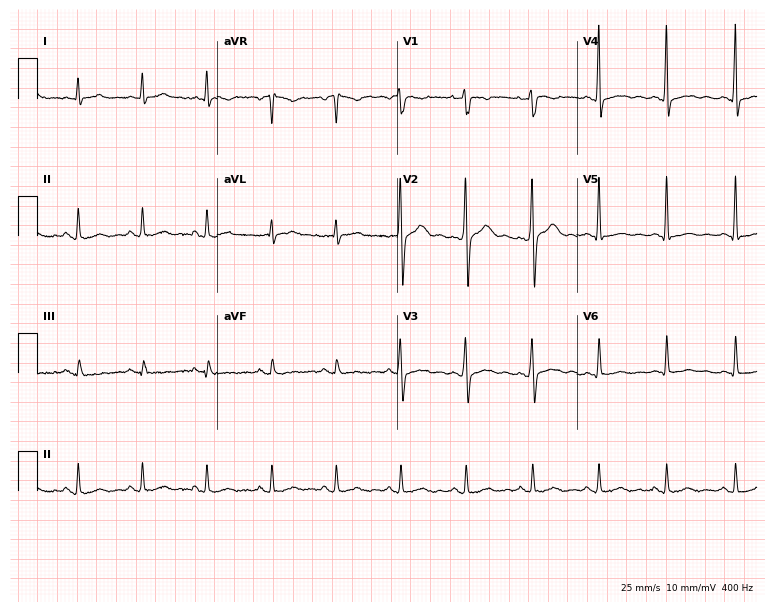
Electrocardiogram (7.3-second recording at 400 Hz), a male patient, 33 years old. Of the six screened findings (first-degree AV block, right bundle branch block (RBBB), left bundle branch block (LBBB), sinus bradycardia, atrial fibrillation (AF), sinus tachycardia), none is recorded. Other findings, if any, are not listed.